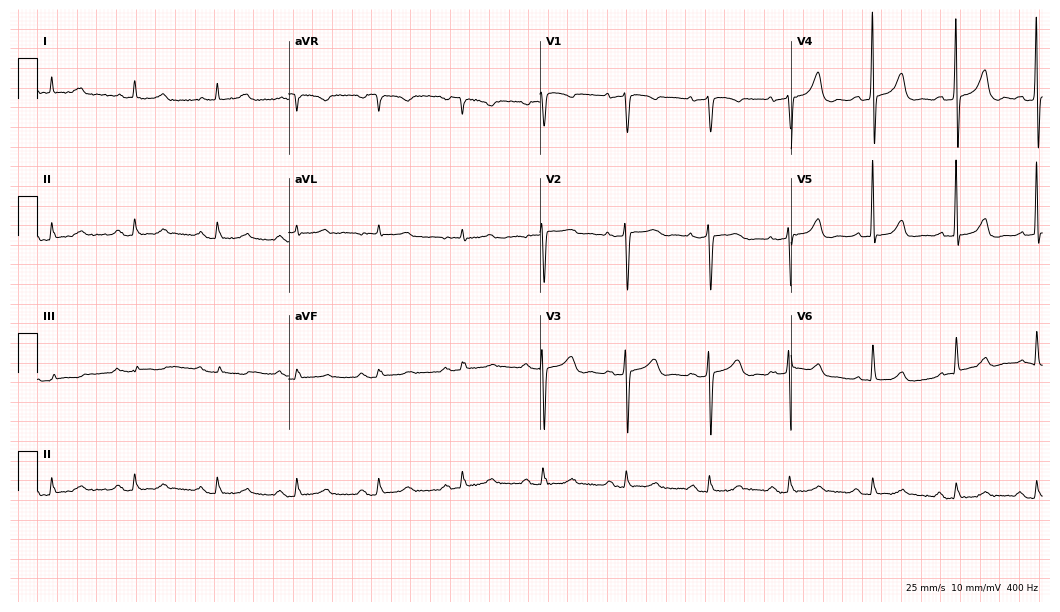
ECG — a female, 85 years old. Screened for six findings — first-degree AV block, right bundle branch block (RBBB), left bundle branch block (LBBB), sinus bradycardia, atrial fibrillation (AF), sinus tachycardia — none is recorded.